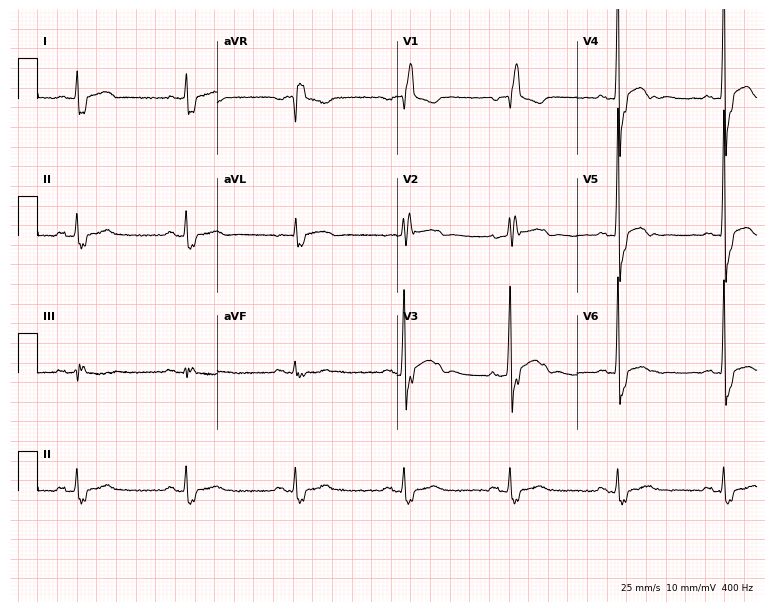
Electrocardiogram, a male, 63 years old. Of the six screened findings (first-degree AV block, right bundle branch block, left bundle branch block, sinus bradycardia, atrial fibrillation, sinus tachycardia), none is recorded.